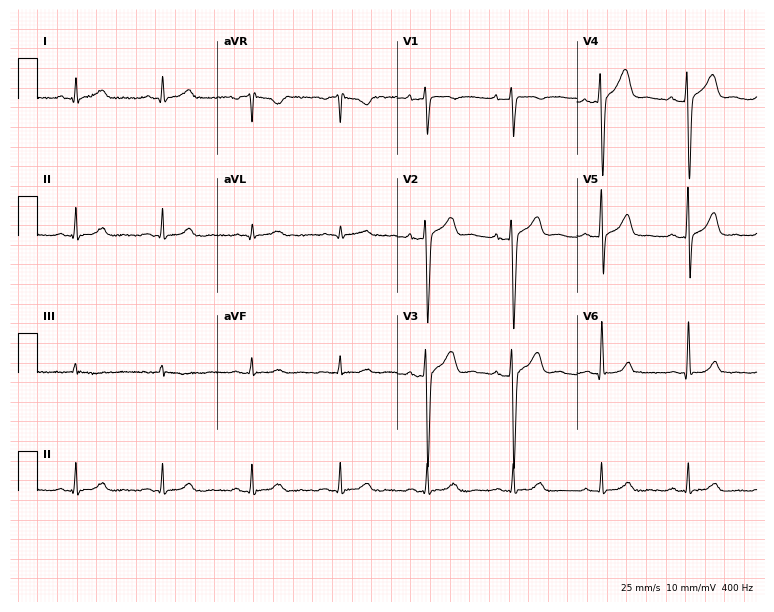
12-lead ECG from a 42-year-old man. Screened for six findings — first-degree AV block, right bundle branch block (RBBB), left bundle branch block (LBBB), sinus bradycardia, atrial fibrillation (AF), sinus tachycardia — none is recorded. Other findings, if any, are not listed.